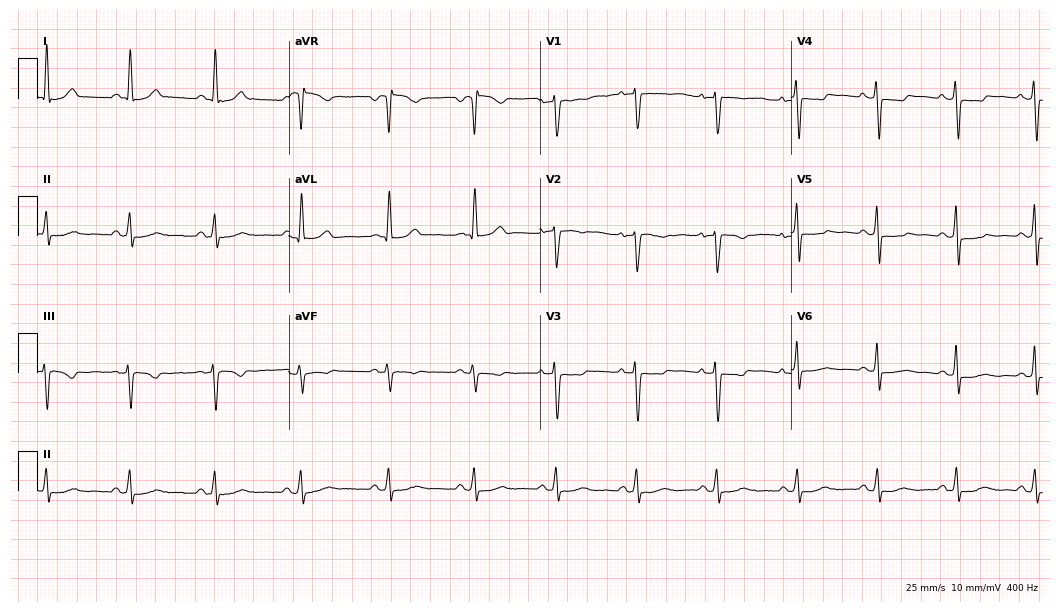
ECG — a male patient, 46 years old. Screened for six findings — first-degree AV block, right bundle branch block, left bundle branch block, sinus bradycardia, atrial fibrillation, sinus tachycardia — none is recorded. Only these six findings were labelled.